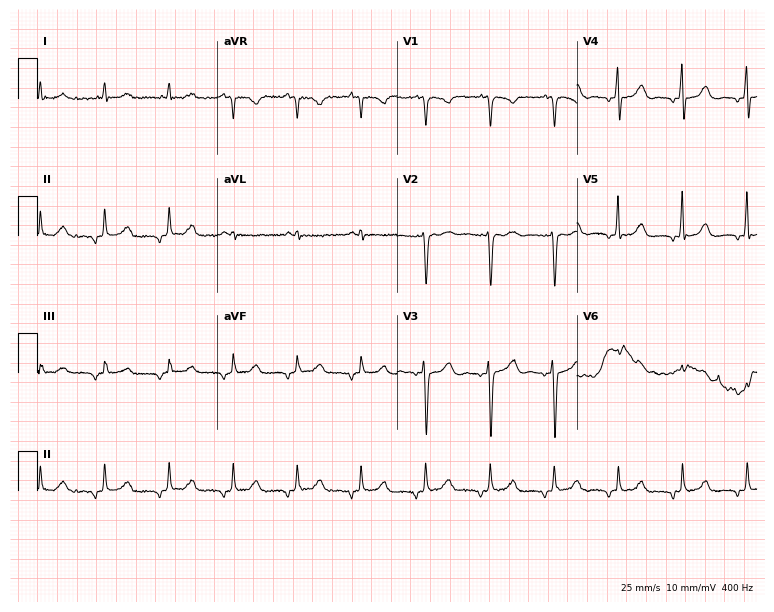
12-lead ECG from a male, 69 years old (7.3-second recording at 400 Hz). No first-degree AV block, right bundle branch block, left bundle branch block, sinus bradycardia, atrial fibrillation or sinus tachycardia recorded for this tracing.